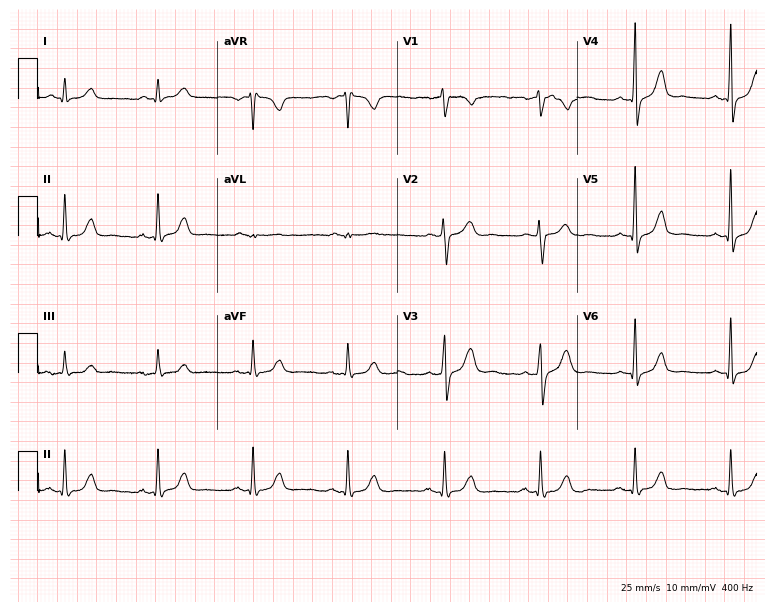
12-lead ECG from a man, 19 years old (7.3-second recording at 400 Hz). Recorded interpretation: within normal limits.